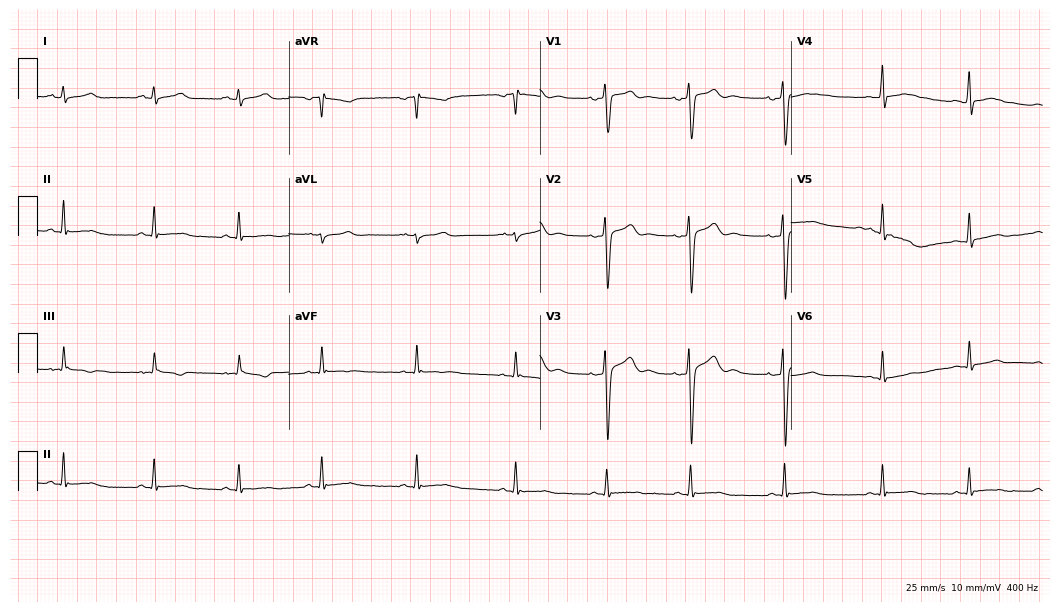
Resting 12-lead electrocardiogram. Patient: a 24-year-old man. None of these six findings is recorded: first-degree AV block, right bundle branch block, left bundle branch block, sinus bradycardia, atrial fibrillation, sinus tachycardia.